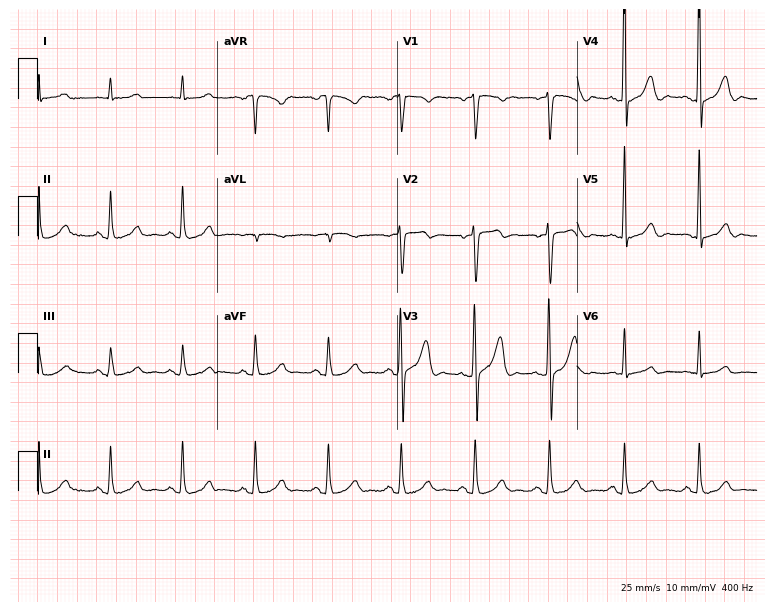
Electrocardiogram, a 54-year-old male patient. Overall reading on record: normal ECG.